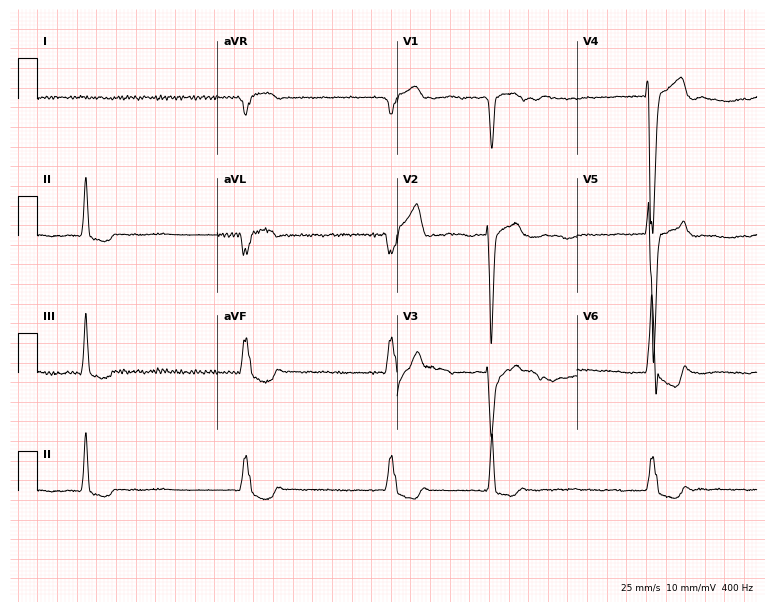
Standard 12-lead ECG recorded from a female patient, 73 years old. None of these six findings is recorded: first-degree AV block, right bundle branch block, left bundle branch block, sinus bradycardia, atrial fibrillation, sinus tachycardia.